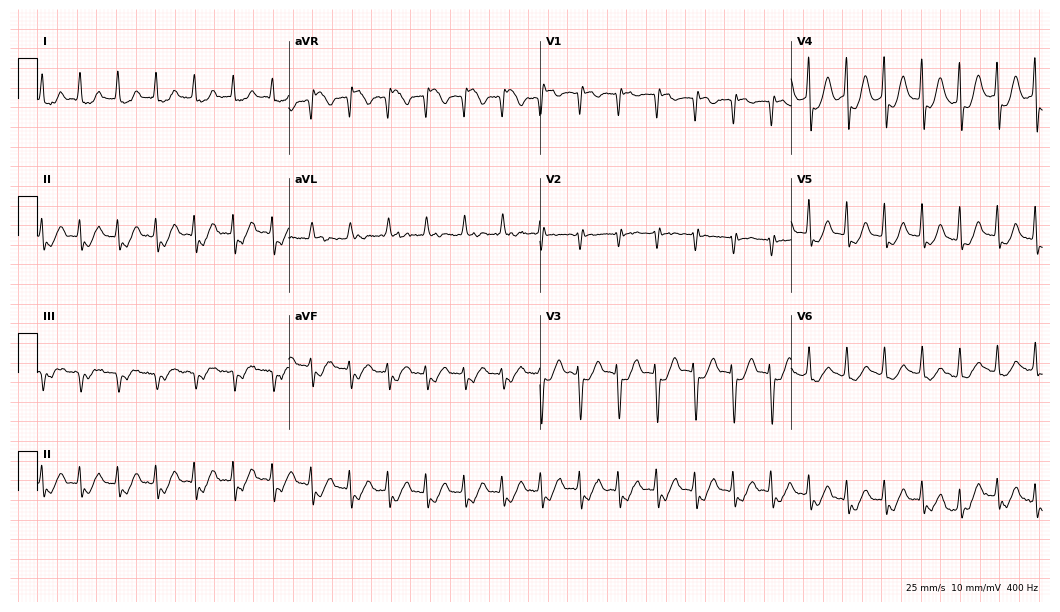
Standard 12-lead ECG recorded from a 53-year-old woman. None of these six findings is recorded: first-degree AV block, right bundle branch block, left bundle branch block, sinus bradycardia, atrial fibrillation, sinus tachycardia.